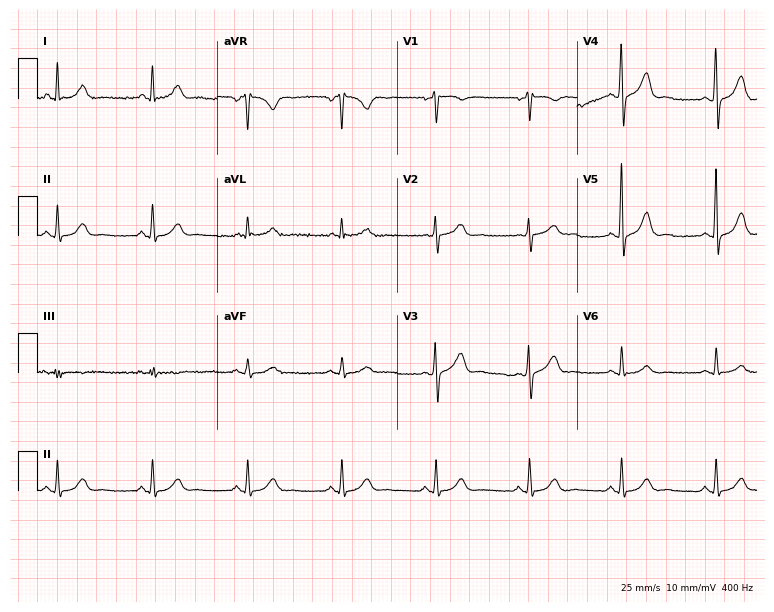
ECG — a 69-year-old male patient. Labelled as a normal ECG.